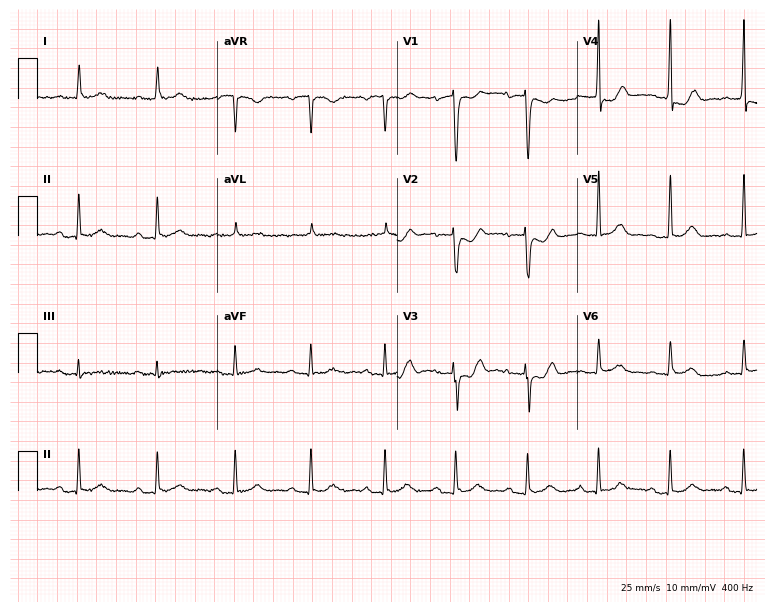
12-lead ECG from a male, 66 years old (7.3-second recording at 400 Hz). No first-degree AV block, right bundle branch block, left bundle branch block, sinus bradycardia, atrial fibrillation or sinus tachycardia recorded for this tracing.